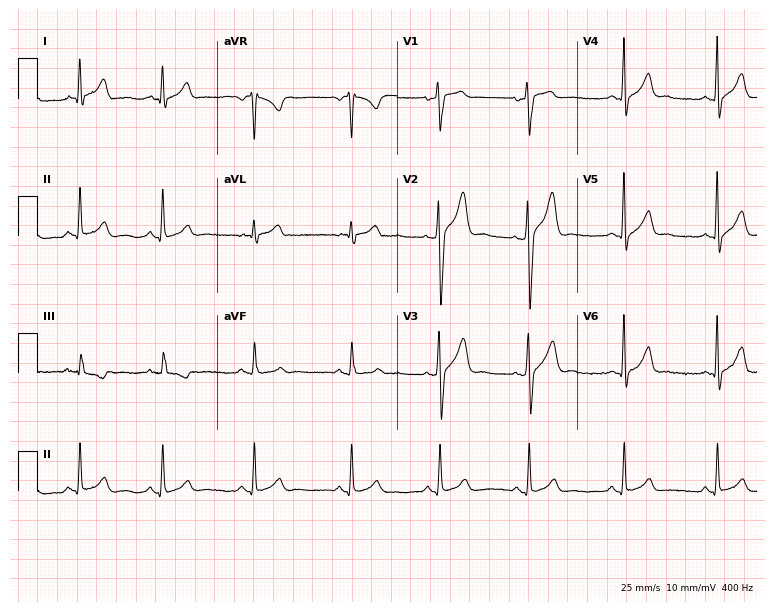
12-lead ECG (7.3-second recording at 400 Hz) from a 26-year-old male. Screened for six findings — first-degree AV block, right bundle branch block, left bundle branch block, sinus bradycardia, atrial fibrillation, sinus tachycardia — none is recorded.